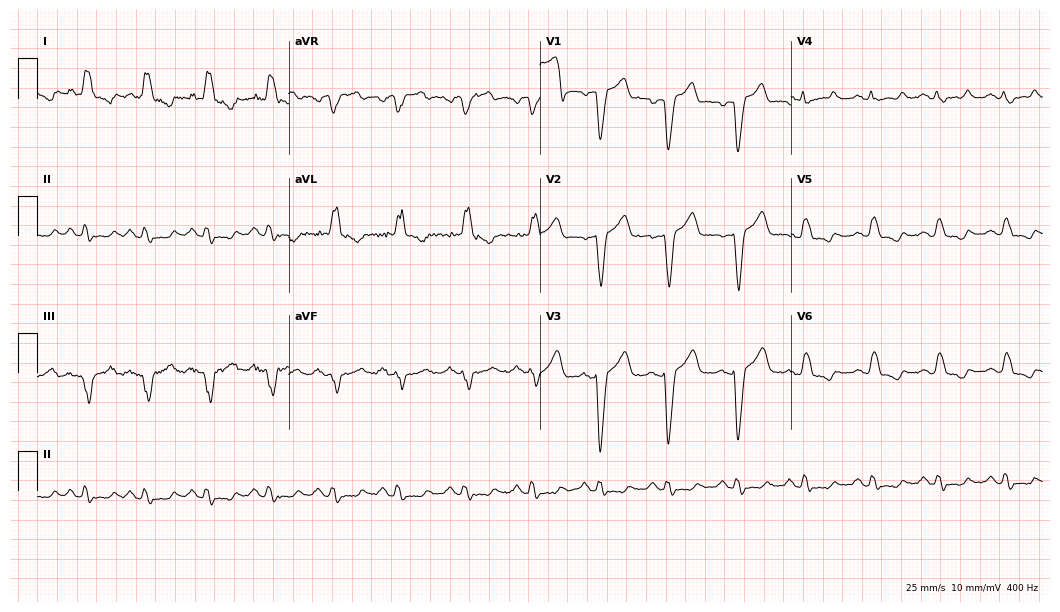
12-lead ECG (10.2-second recording at 400 Hz) from a 72-year-old male. Findings include left bundle branch block.